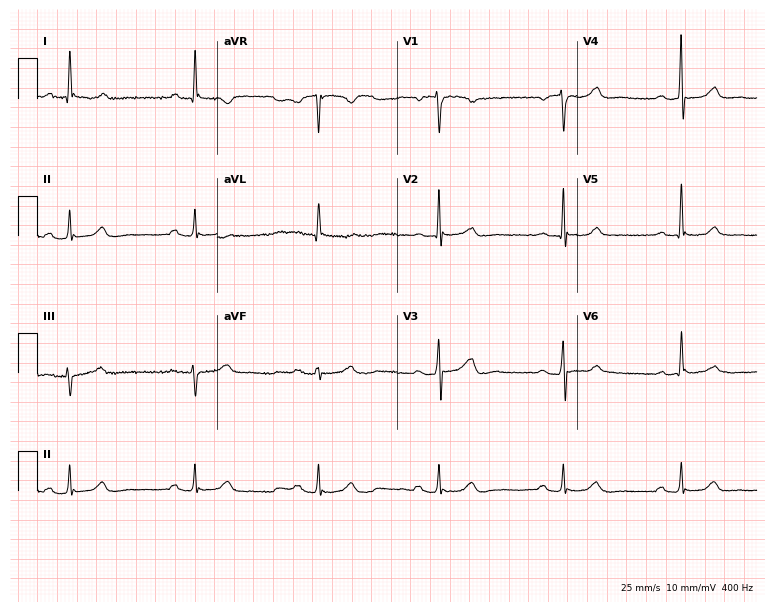
Resting 12-lead electrocardiogram (7.3-second recording at 400 Hz). Patient: a 63-year-old female. None of these six findings is recorded: first-degree AV block, right bundle branch block (RBBB), left bundle branch block (LBBB), sinus bradycardia, atrial fibrillation (AF), sinus tachycardia. Only these six findings were labelled.